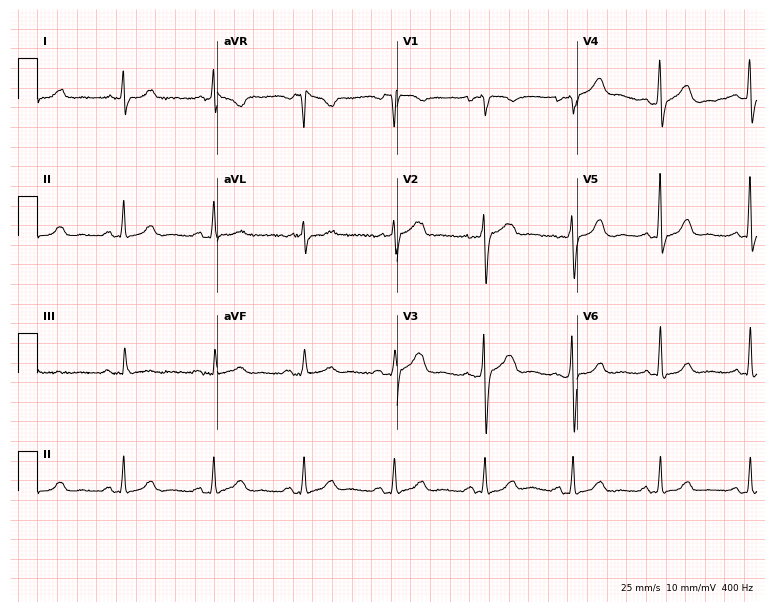
12-lead ECG from a female, 76 years old (7.3-second recording at 400 Hz). Recorded interpretation: within normal limits.